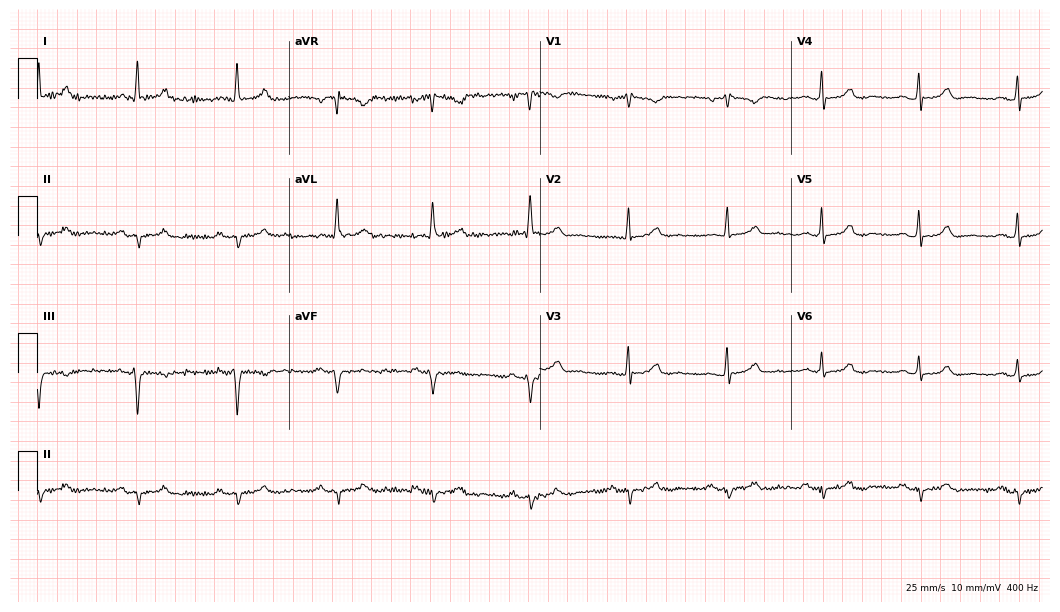
ECG — a female patient, 60 years old. Screened for six findings — first-degree AV block, right bundle branch block (RBBB), left bundle branch block (LBBB), sinus bradycardia, atrial fibrillation (AF), sinus tachycardia — none is recorded.